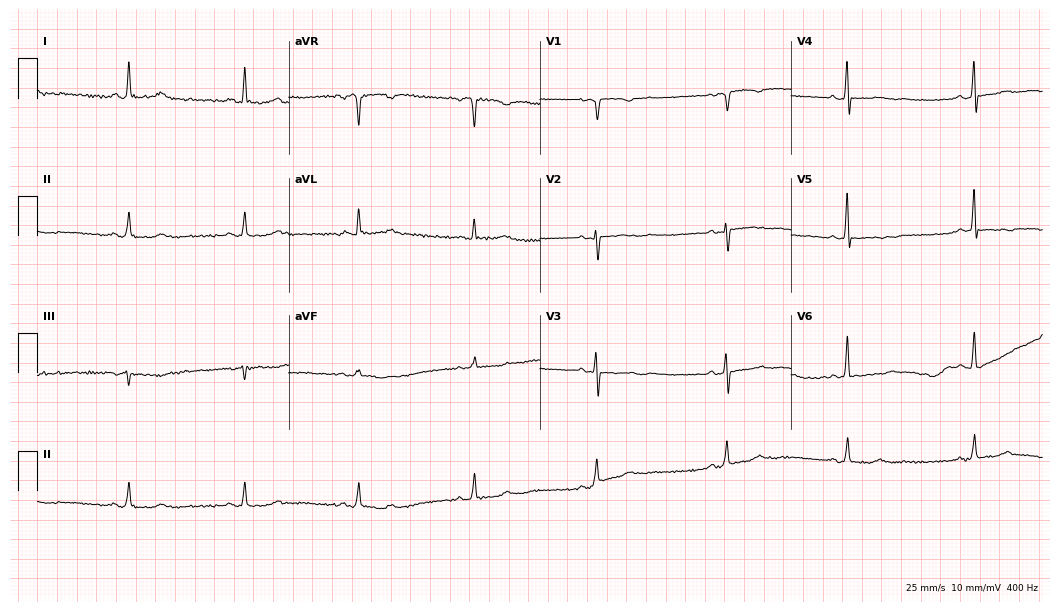
12-lead ECG from a female patient, 78 years old. Recorded interpretation: within normal limits.